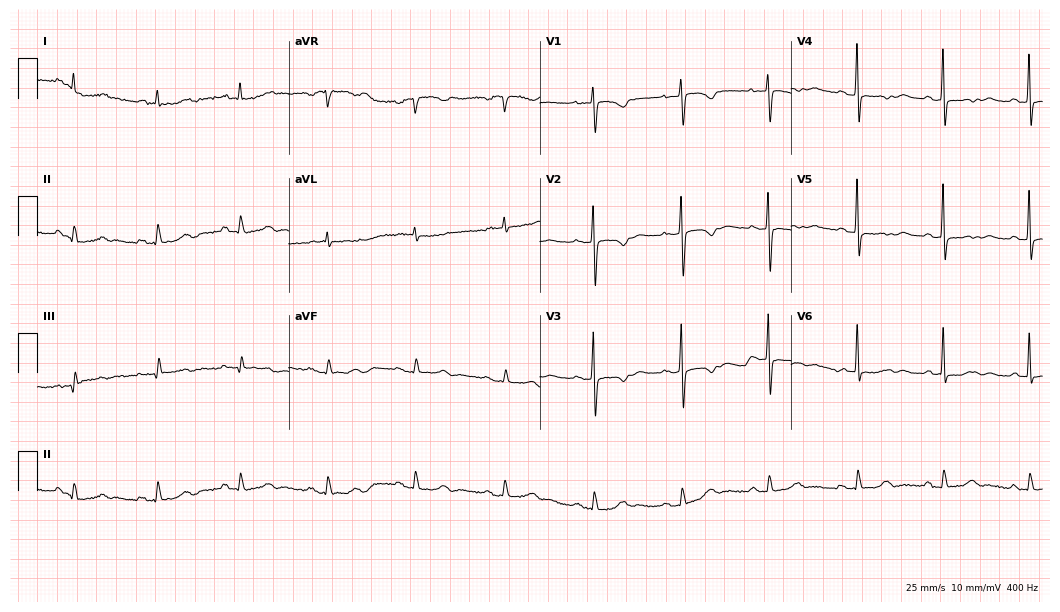
Electrocardiogram, a female, 67 years old. Of the six screened findings (first-degree AV block, right bundle branch block (RBBB), left bundle branch block (LBBB), sinus bradycardia, atrial fibrillation (AF), sinus tachycardia), none is recorded.